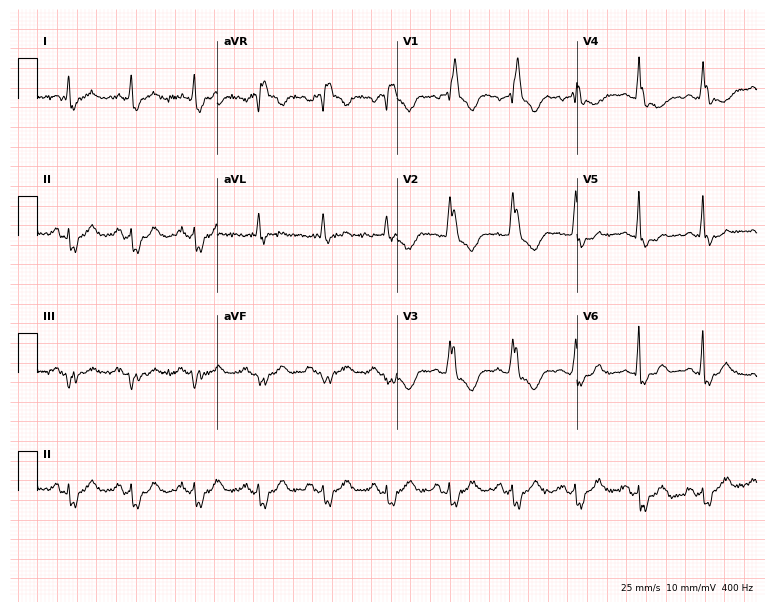
12-lead ECG from a 68-year-old female patient. Shows right bundle branch block (RBBB).